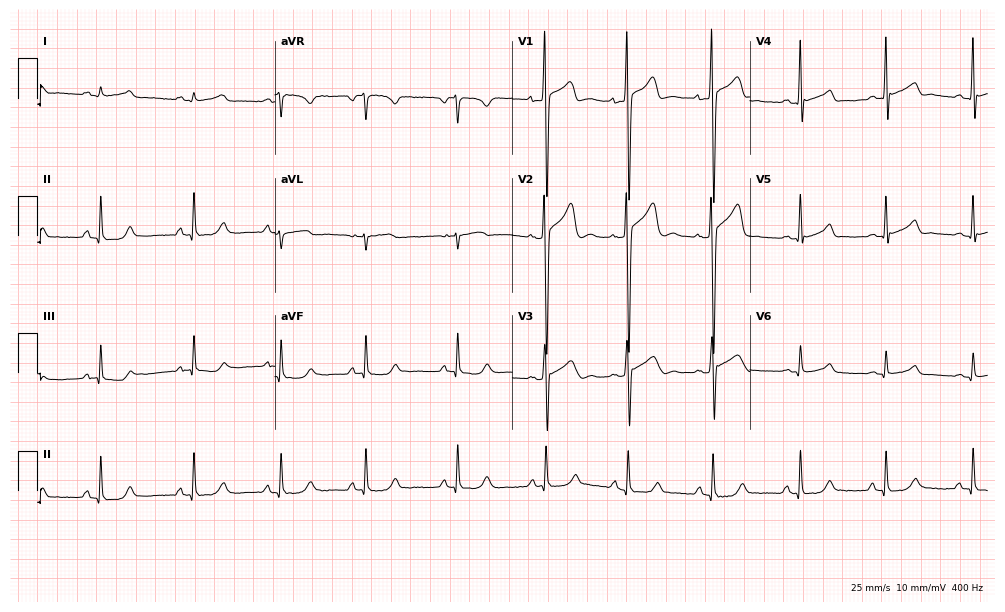
12-lead ECG from a male patient, 17 years old (9.7-second recording at 400 Hz). Recorded interpretation: within normal limits.